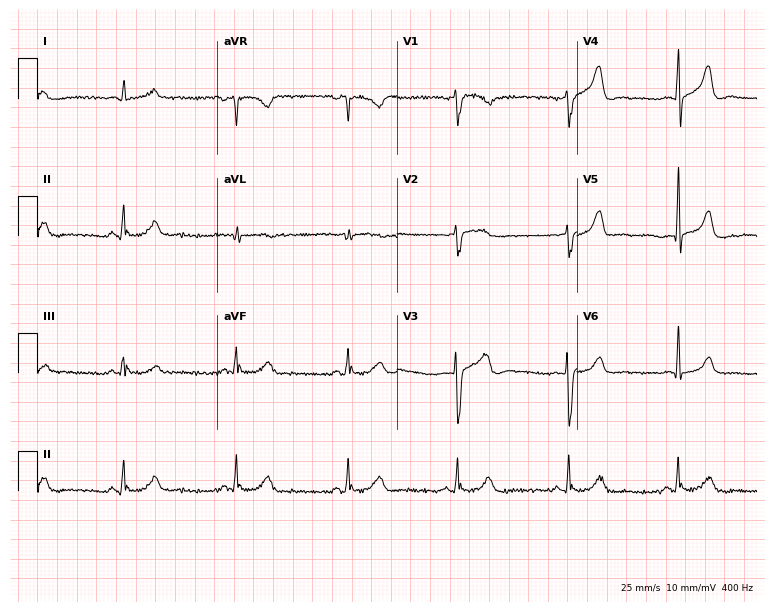
12-lead ECG from a 66-year-old male patient. Recorded interpretation: within normal limits.